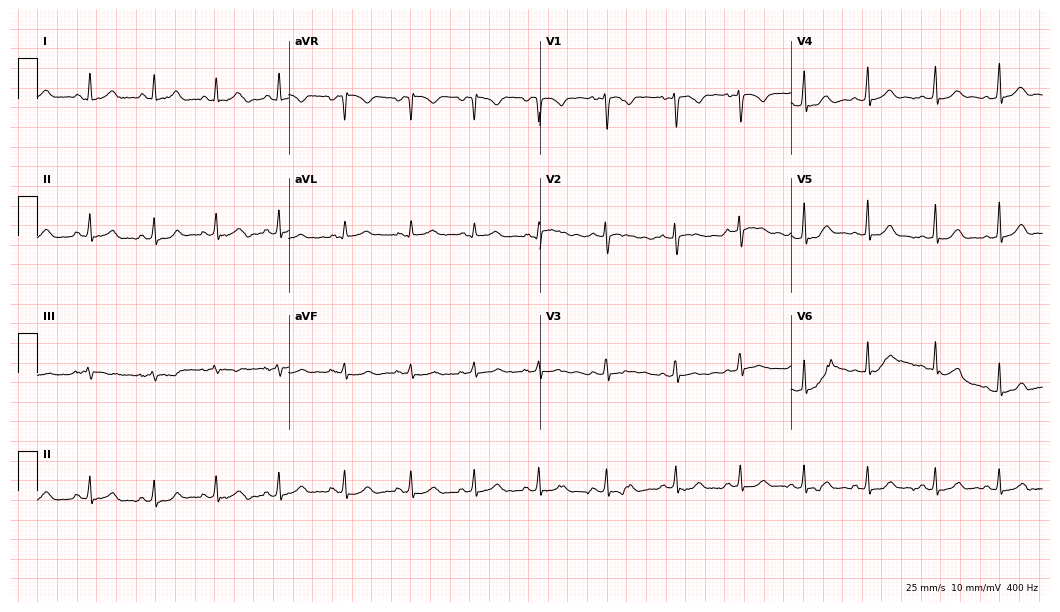
Resting 12-lead electrocardiogram (10.2-second recording at 400 Hz). Patient: an 18-year-old female. Read as a normal ECG.